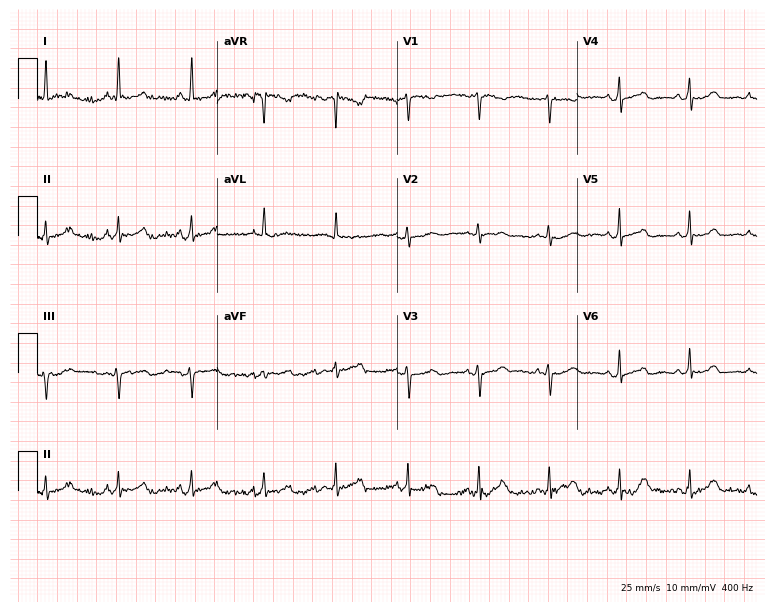
Electrocardiogram, a 72-year-old woman. Overall reading on record: normal ECG.